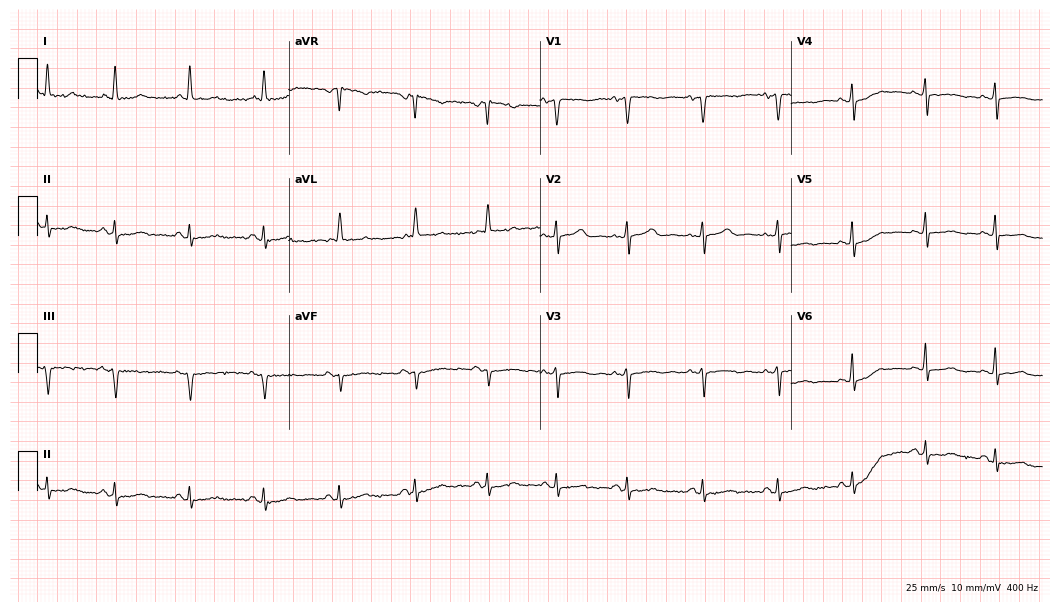
Standard 12-lead ECG recorded from a female, 70 years old (10.2-second recording at 400 Hz). None of these six findings is recorded: first-degree AV block, right bundle branch block (RBBB), left bundle branch block (LBBB), sinus bradycardia, atrial fibrillation (AF), sinus tachycardia.